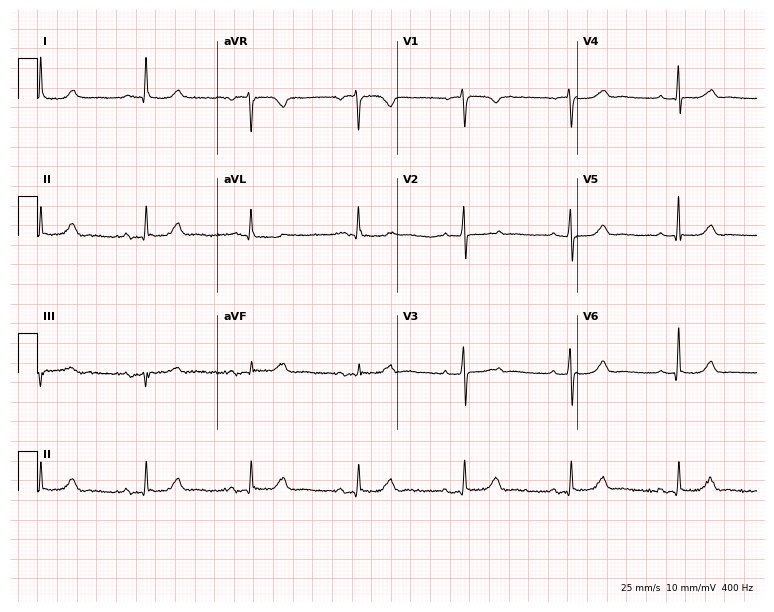
12-lead ECG (7.3-second recording at 400 Hz) from a female, 65 years old. Labelled as a normal ECG.